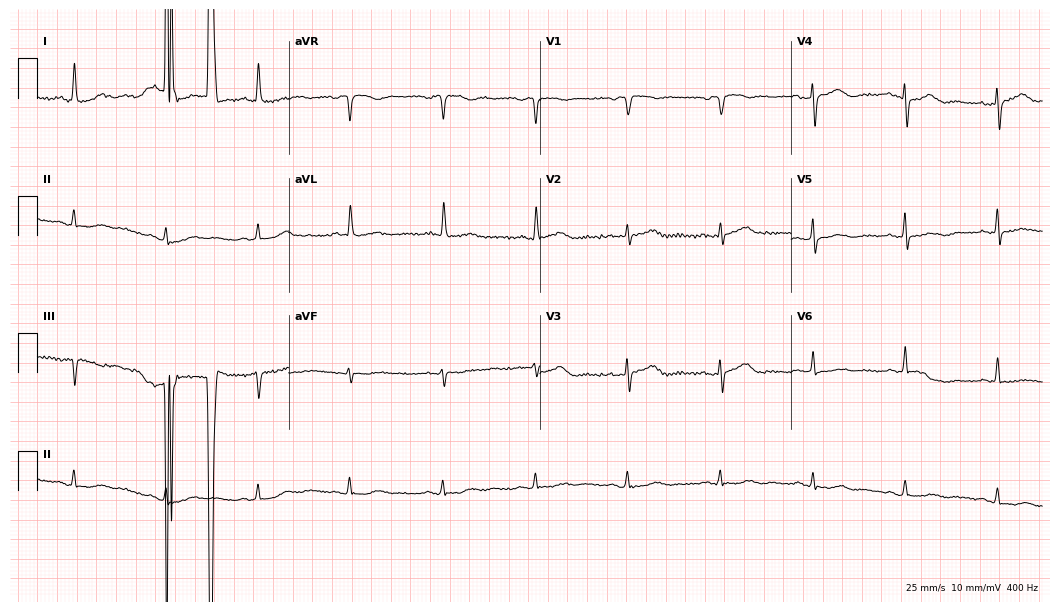
ECG (10.2-second recording at 400 Hz) — an 86-year-old woman. Screened for six findings — first-degree AV block, right bundle branch block (RBBB), left bundle branch block (LBBB), sinus bradycardia, atrial fibrillation (AF), sinus tachycardia — none is recorded.